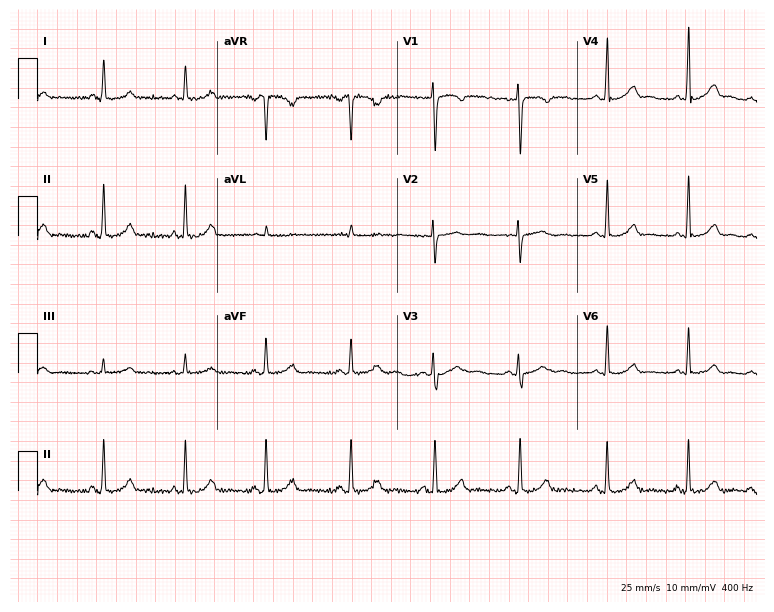
Resting 12-lead electrocardiogram (7.3-second recording at 400 Hz). Patient: a female, 26 years old. Read as a normal ECG.